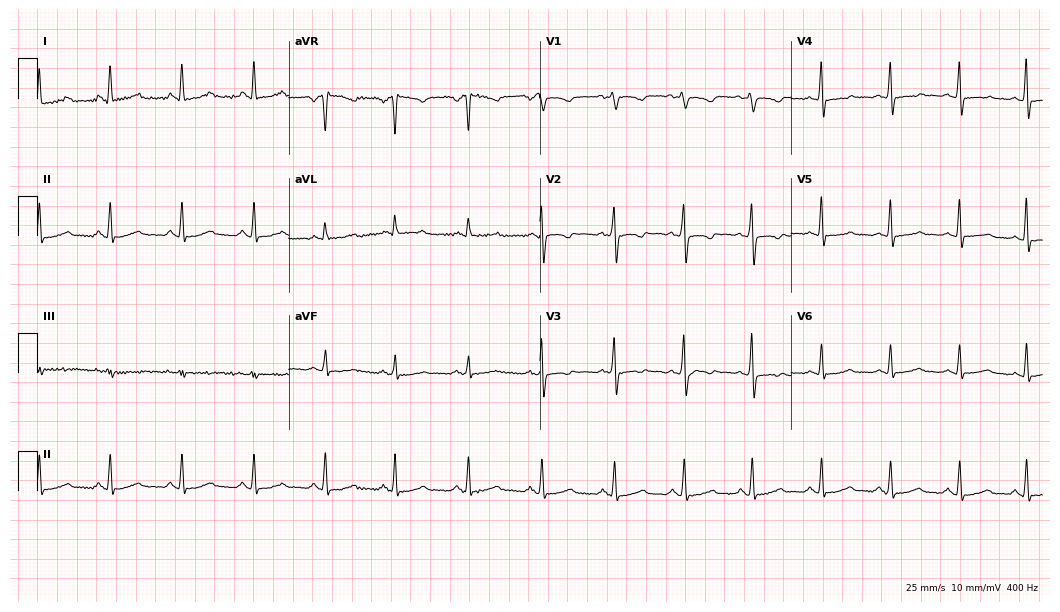
Resting 12-lead electrocardiogram. Patient: a 56-year-old female. None of these six findings is recorded: first-degree AV block, right bundle branch block, left bundle branch block, sinus bradycardia, atrial fibrillation, sinus tachycardia.